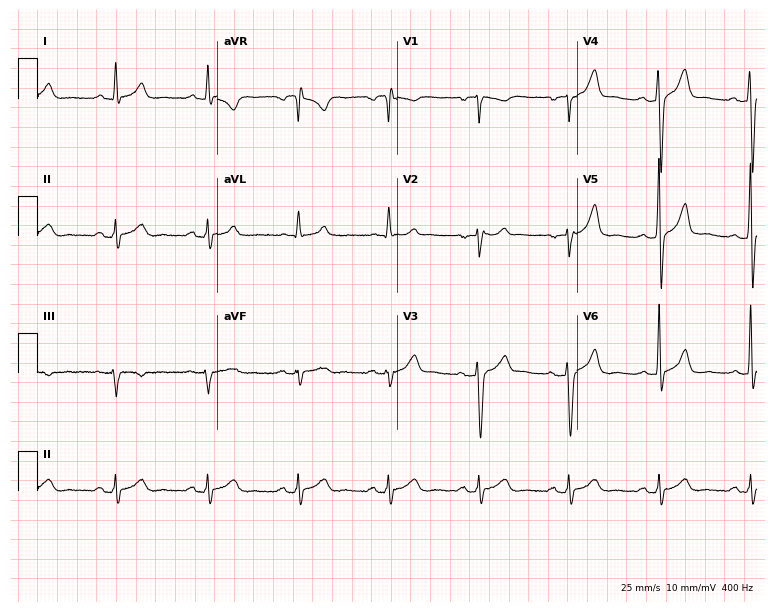
Electrocardiogram, a 45-year-old male. Of the six screened findings (first-degree AV block, right bundle branch block, left bundle branch block, sinus bradycardia, atrial fibrillation, sinus tachycardia), none is recorded. Findings outside these six are not listed.